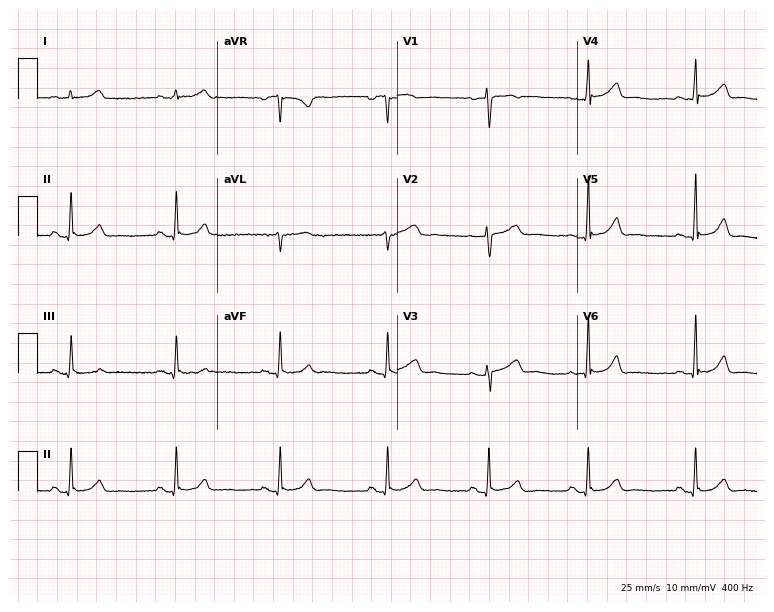
12-lead ECG (7.3-second recording at 400 Hz) from a woman, 39 years old. Labelled as a normal ECG.